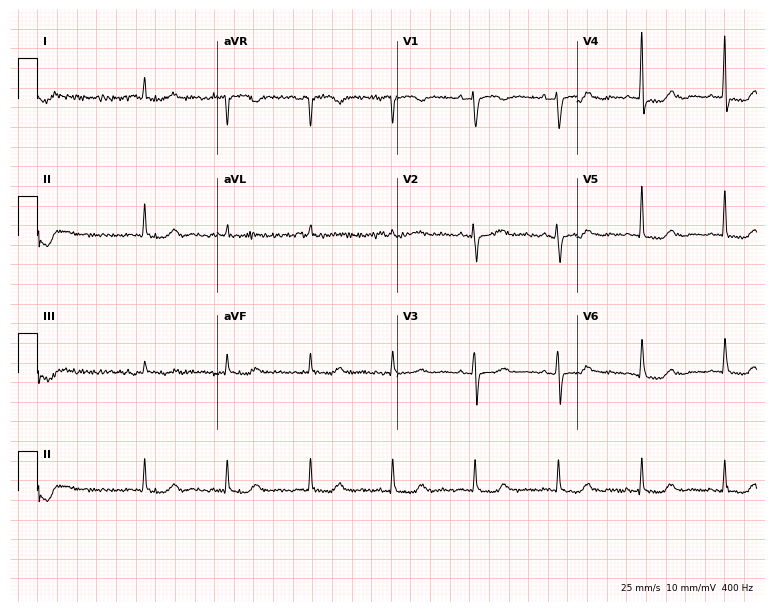
Standard 12-lead ECG recorded from an 80-year-old female patient. None of these six findings is recorded: first-degree AV block, right bundle branch block, left bundle branch block, sinus bradycardia, atrial fibrillation, sinus tachycardia.